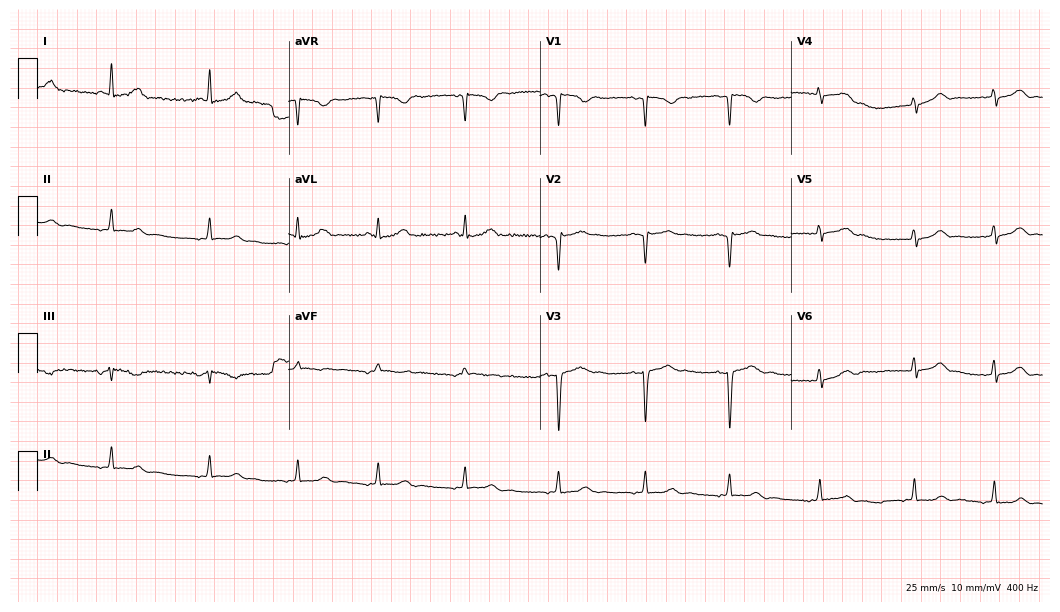
ECG — a 41-year-old female. Screened for six findings — first-degree AV block, right bundle branch block (RBBB), left bundle branch block (LBBB), sinus bradycardia, atrial fibrillation (AF), sinus tachycardia — none is recorded. Findings outside these six are not listed.